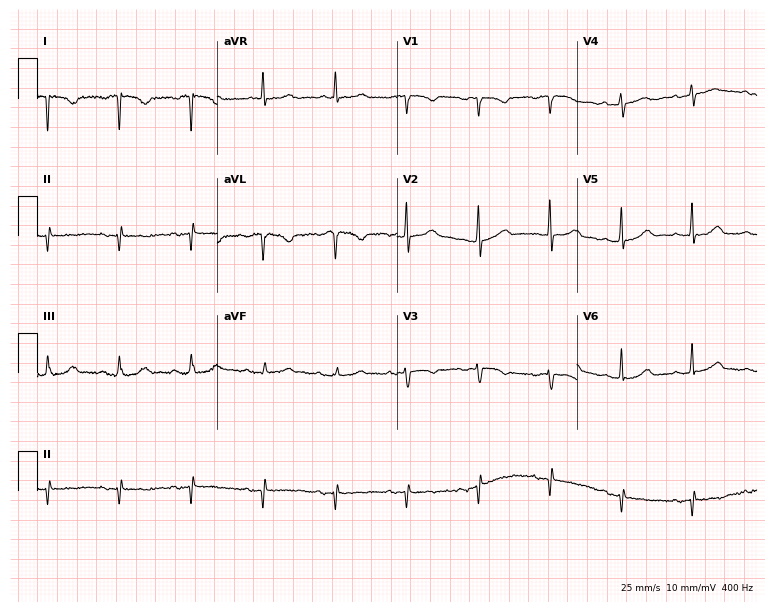
12-lead ECG from a 72-year-old female (7.3-second recording at 400 Hz). No first-degree AV block, right bundle branch block, left bundle branch block, sinus bradycardia, atrial fibrillation or sinus tachycardia recorded for this tracing. Only these six findings were labelled.